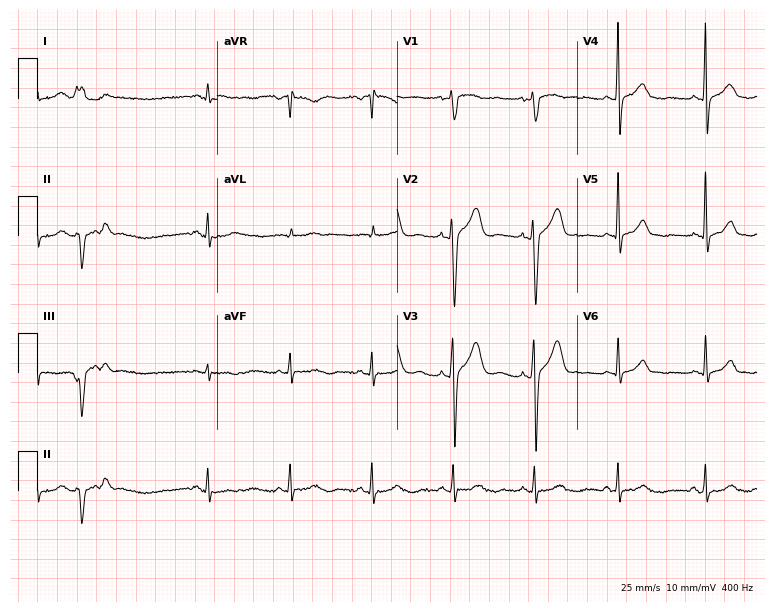
Resting 12-lead electrocardiogram (7.3-second recording at 400 Hz). Patient: a male, 47 years old. None of these six findings is recorded: first-degree AV block, right bundle branch block, left bundle branch block, sinus bradycardia, atrial fibrillation, sinus tachycardia. Findings outside these six are not listed.